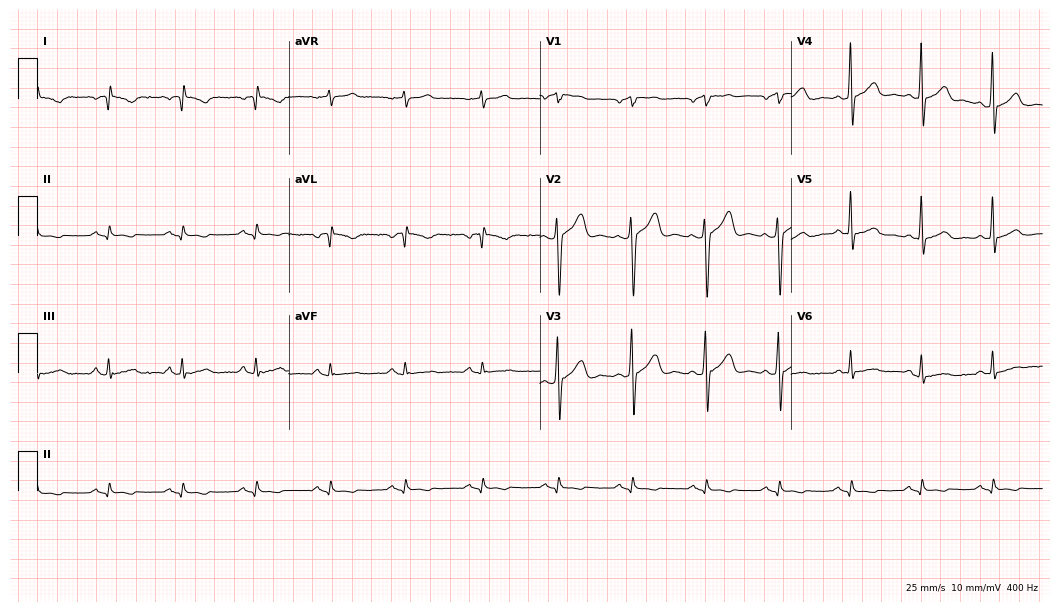
Standard 12-lead ECG recorded from a male patient, 55 years old. None of these six findings is recorded: first-degree AV block, right bundle branch block, left bundle branch block, sinus bradycardia, atrial fibrillation, sinus tachycardia.